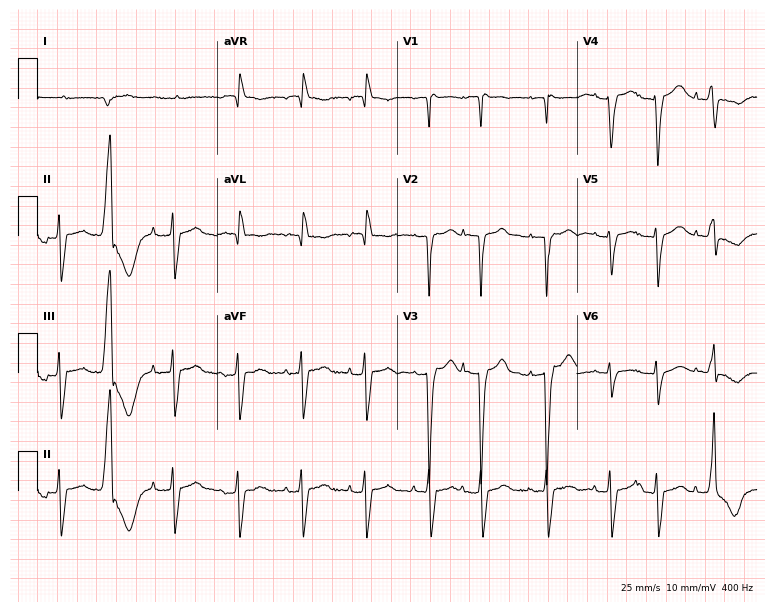
Electrocardiogram, an 82-year-old male patient. Of the six screened findings (first-degree AV block, right bundle branch block, left bundle branch block, sinus bradycardia, atrial fibrillation, sinus tachycardia), none is recorded.